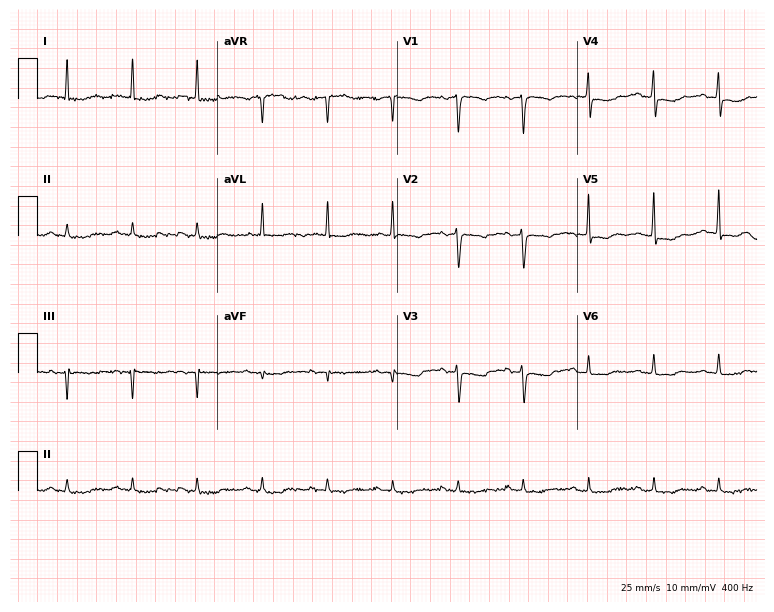
12-lead ECG from an 82-year-old female. Screened for six findings — first-degree AV block, right bundle branch block, left bundle branch block, sinus bradycardia, atrial fibrillation, sinus tachycardia — none is recorded.